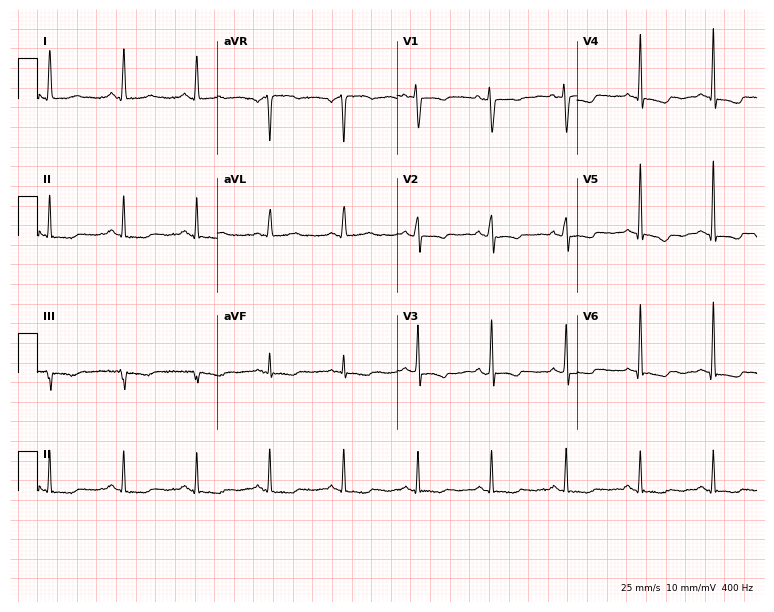
12-lead ECG from a 46-year-old female patient (7.3-second recording at 400 Hz). No first-degree AV block, right bundle branch block, left bundle branch block, sinus bradycardia, atrial fibrillation or sinus tachycardia recorded for this tracing.